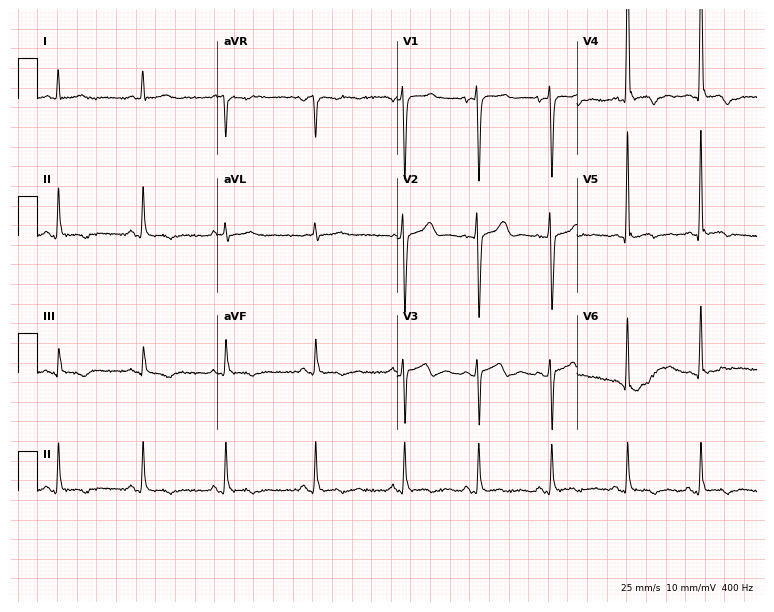
Standard 12-lead ECG recorded from a female, 25 years old. None of these six findings is recorded: first-degree AV block, right bundle branch block (RBBB), left bundle branch block (LBBB), sinus bradycardia, atrial fibrillation (AF), sinus tachycardia. Findings outside these six are not listed.